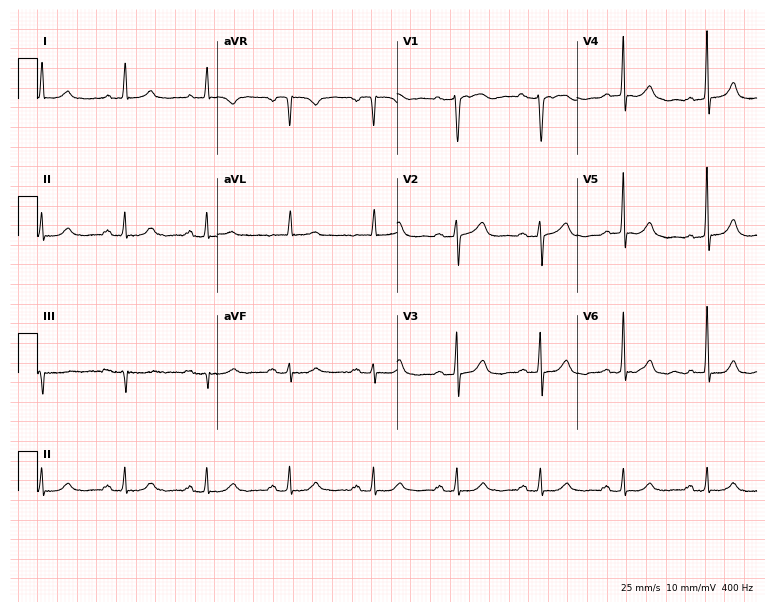
Resting 12-lead electrocardiogram (7.3-second recording at 400 Hz). Patient: a female, 66 years old. Read as a normal ECG.